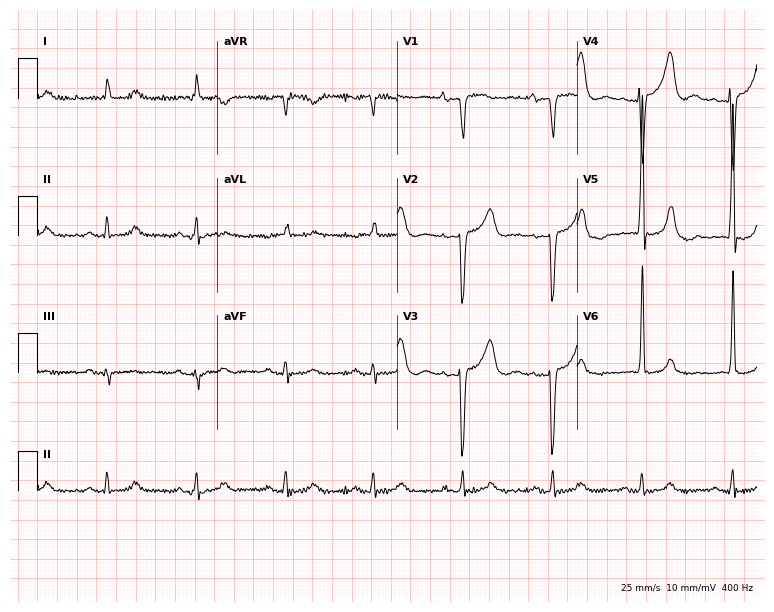
12-lead ECG from a female, 78 years old. Screened for six findings — first-degree AV block, right bundle branch block, left bundle branch block, sinus bradycardia, atrial fibrillation, sinus tachycardia — none is recorded.